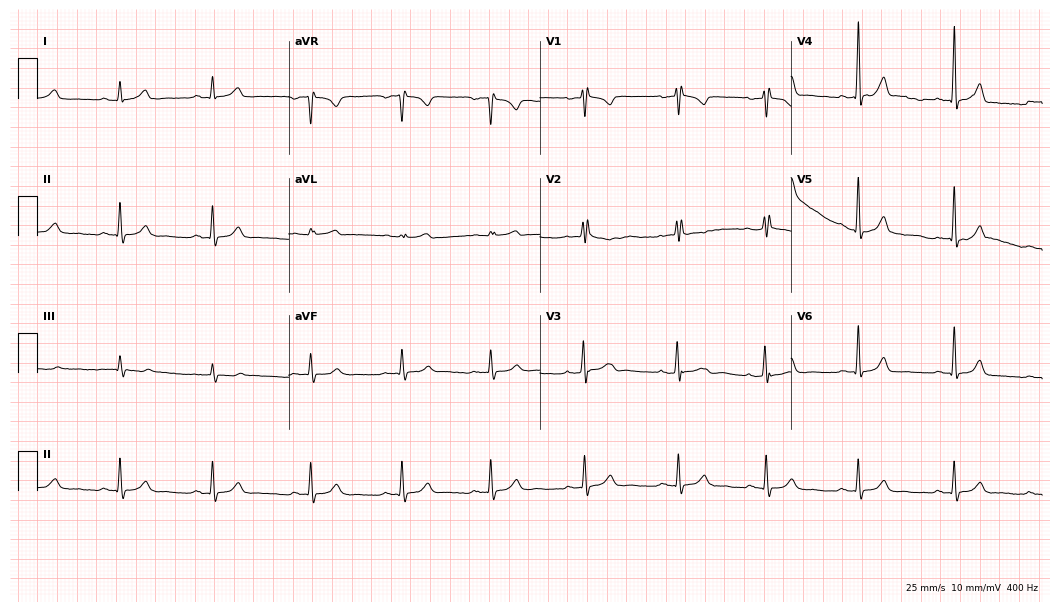
Electrocardiogram, a female, 28 years old. Overall reading on record: normal ECG.